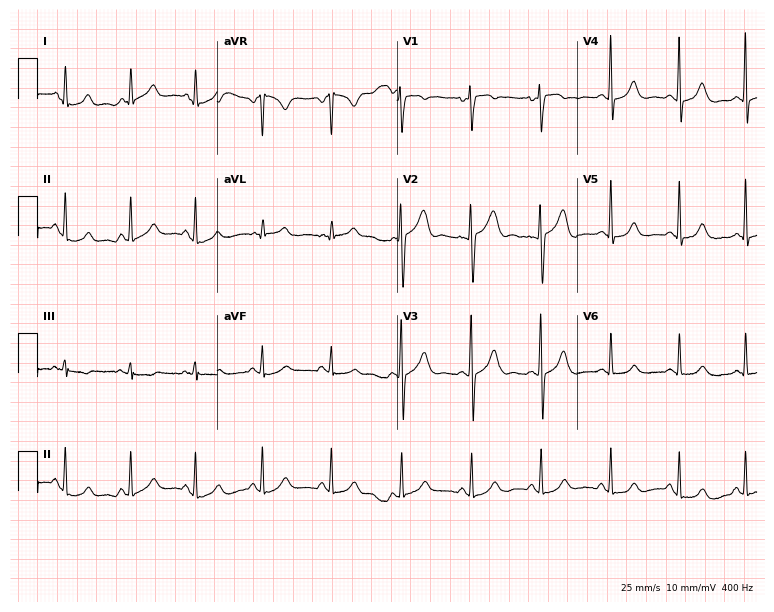
Standard 12-lead ECG recorded from a woman, 38 years old (7.3-second recording at 400 Hz). Read as a normal ECG.